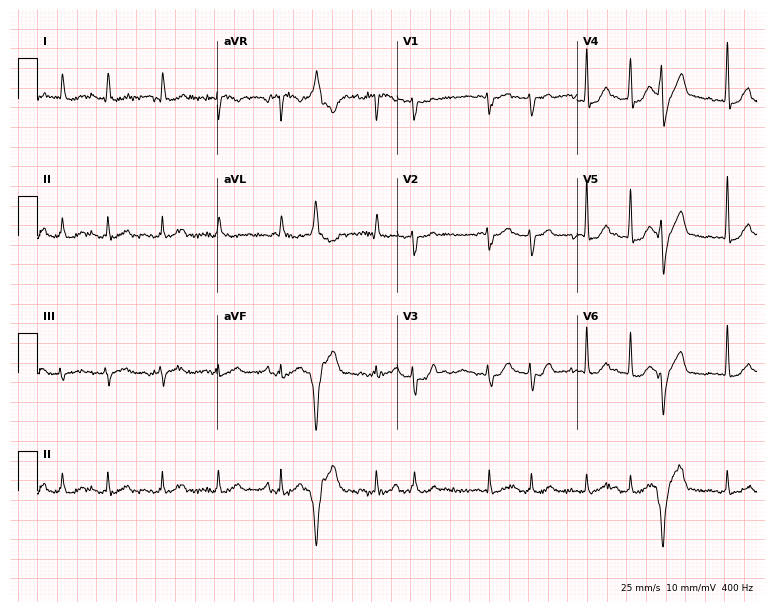
Electrocardiogram, a 74-year-old female patient. Interpretation includes sinus tachycardia (a sinus rate of 100 beats per minute or more).